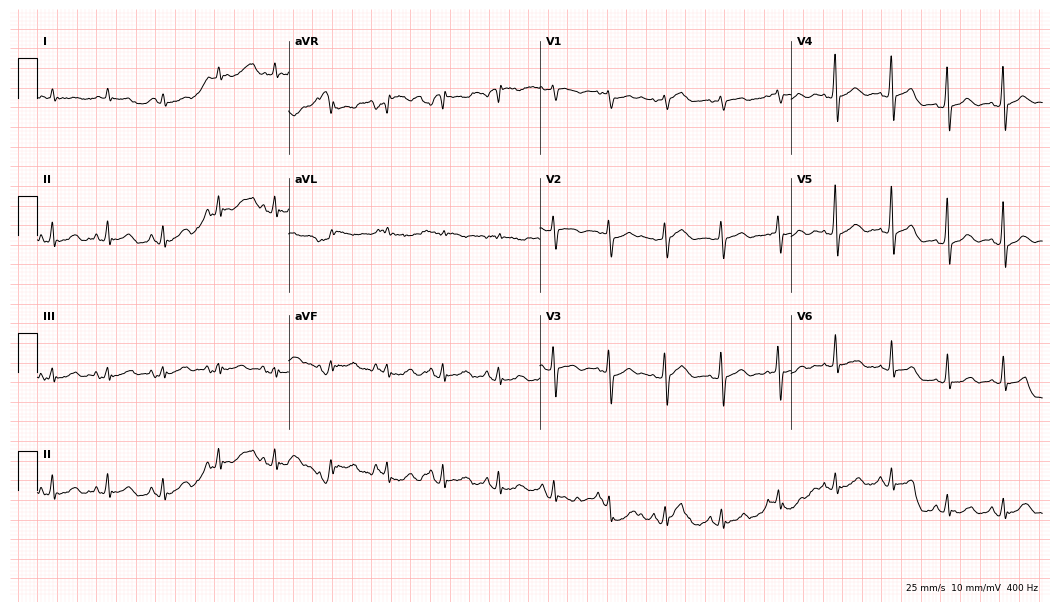
Standard 12-lead ECG recorded from a 74-year-old female patient (10.2-second recording at 400 Hz). None of these six findings is recorded: first-degree AV block, right bundle branch block, left bundle branch block, sinus bradycardia, atrial fibrillation, sinus tachycardia.